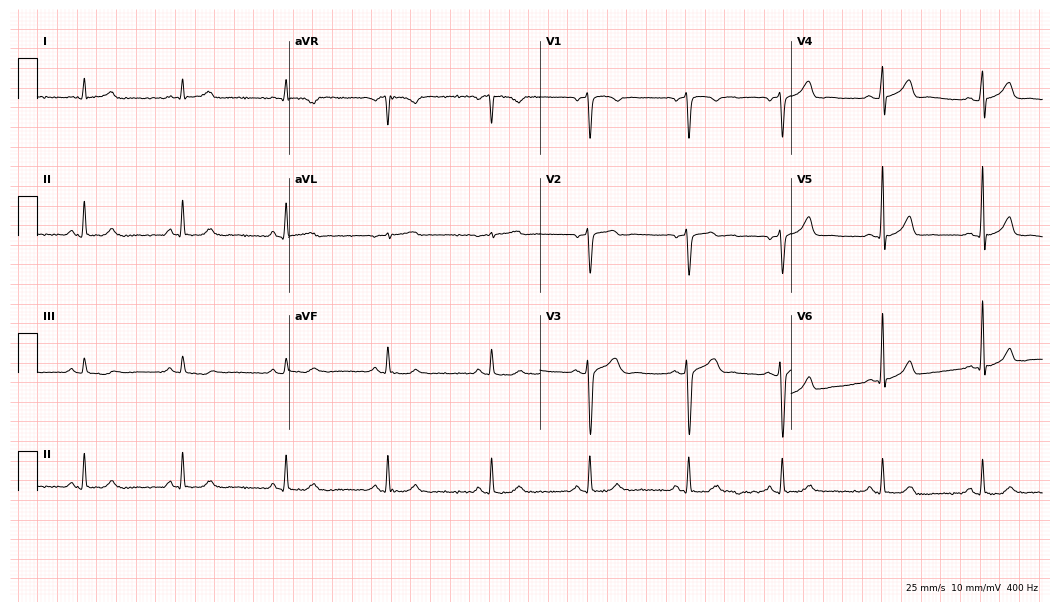
12-lead ECG from a 47-year-old male. Labelled as a normal ECG.